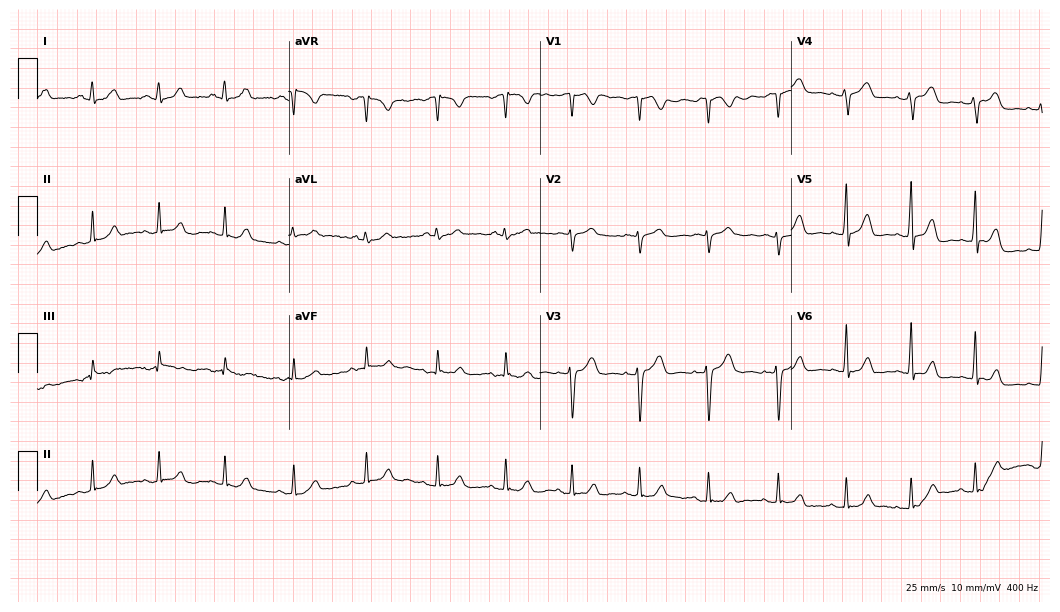
Standard 12-lead ECG recorded from a female patient, 53 years old. Read as a normal ECG.